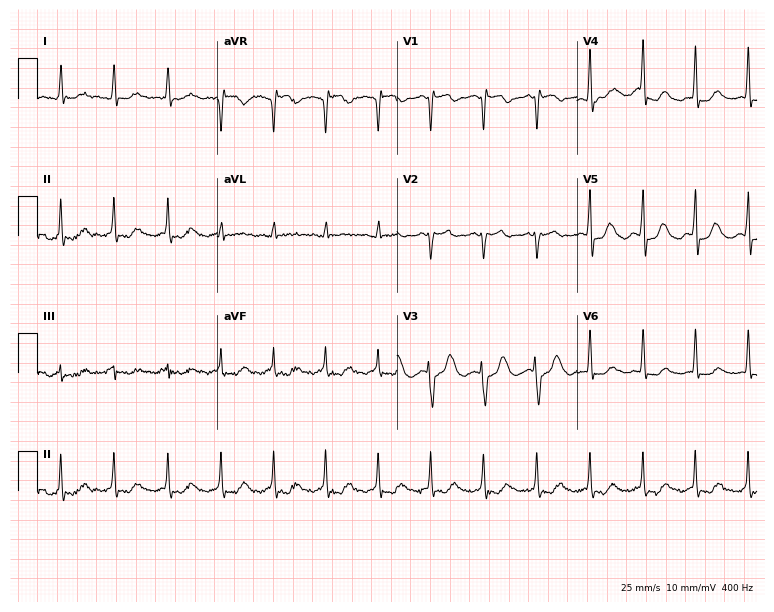
ECG — a female patient, 76 years old. Findings include sinus tachycardia (a sinus rate of 100 beats per minute or more).